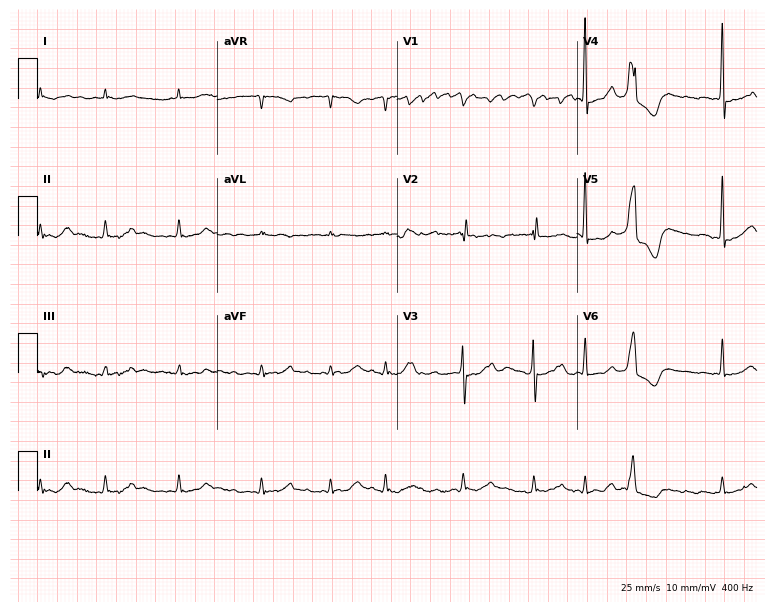
Electrocardiogram (7.3-second recording at 400 Hz), a man, 78 years old. Interpretation includes atrial fibrillation (AF).